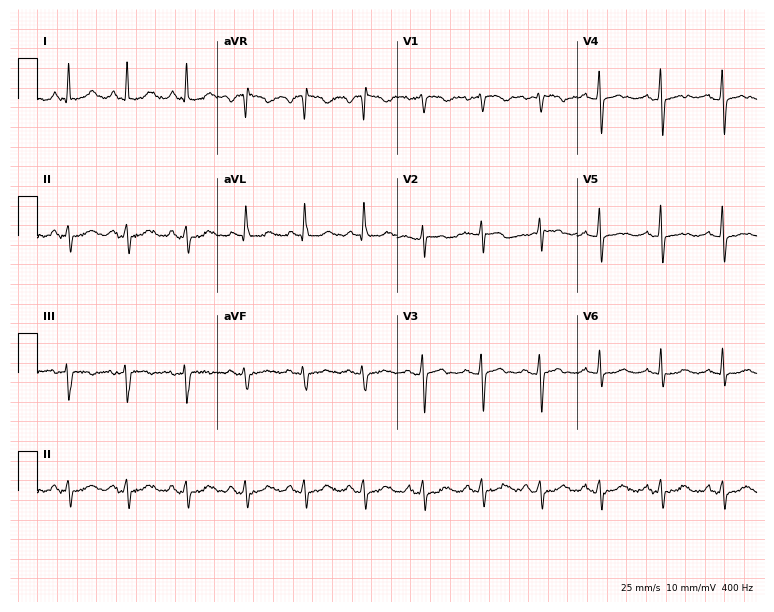
ECG — a female, 55 years old. Screened for six findings — first-degree AV block, right bundle branch block (RBBB), left bundle branch block (LBBB), sinus bradycardia, atrial fibrillation (AF), sinus tachycardia — none is recorded.